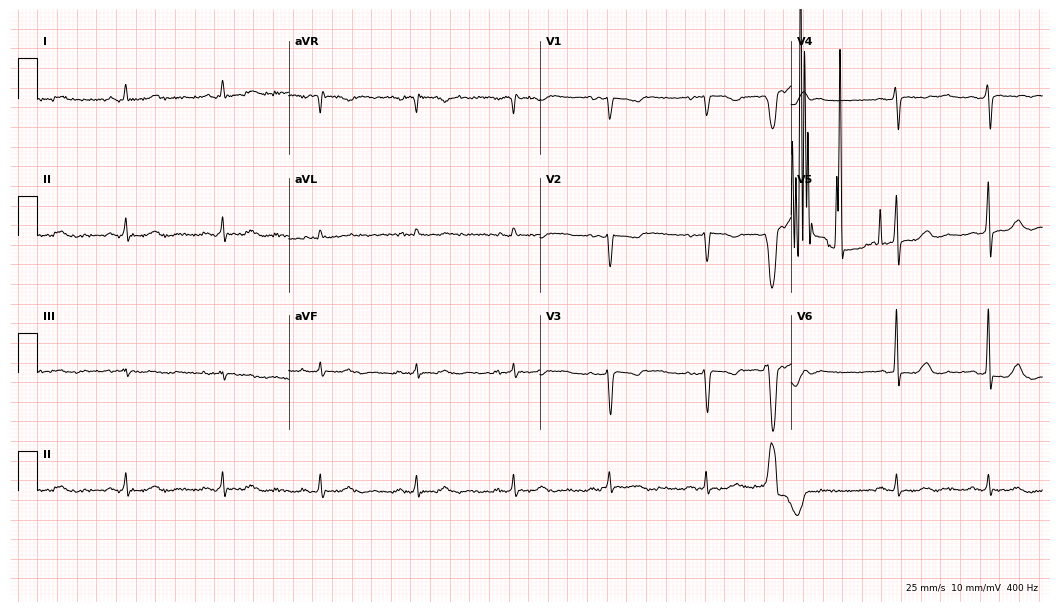
ECG — a 63-year-old female. Screened for six findings — first-degree AV block, right bundle branch block (RBBB), left bundle branch block (LBBB), sinus bradycardia, atrial fibrillation (AF), sinus tachycardia — none is recorded.